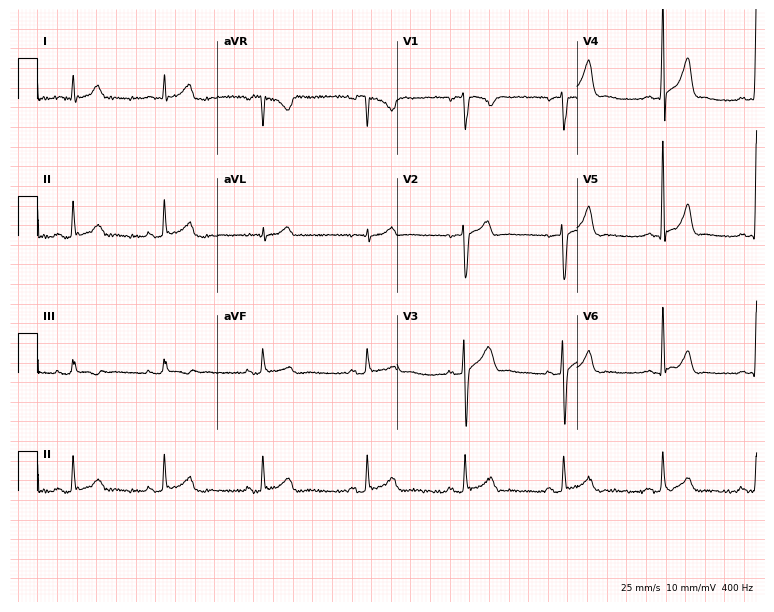
ECG — a 24-year-old male patient. Labelled as a normal ECG.